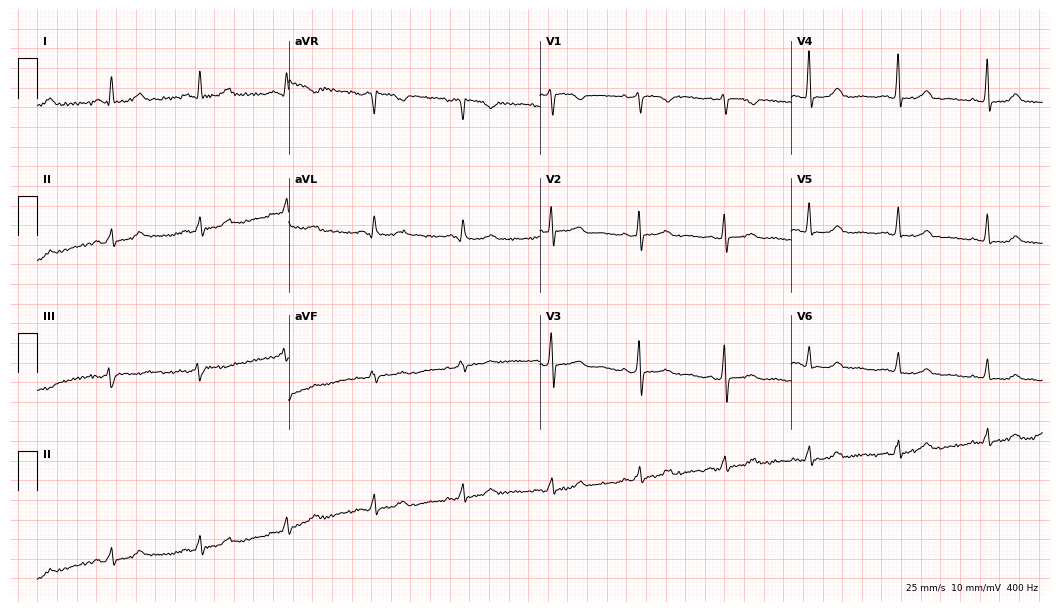
12-lead ECG from a woman, 66 years old. Recorded interpretation: within normal limits.